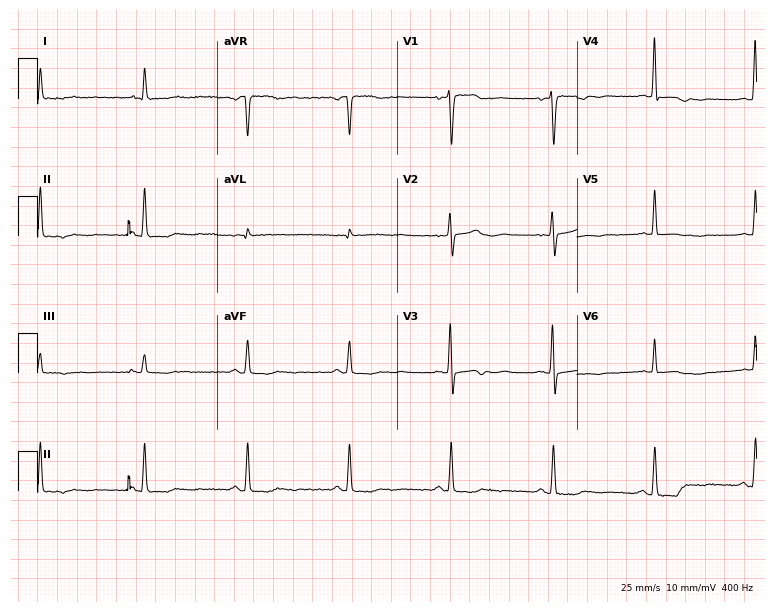
Standard 12-lead ECG recorded from a female patient, 47 years old. None of these six findings is recorded: first-degree AV block, right bundle branch block, left bundle branch block, sinus bradycardia, atrial fibrillation, sinus tachycardia. Findings outside these six are not listed.